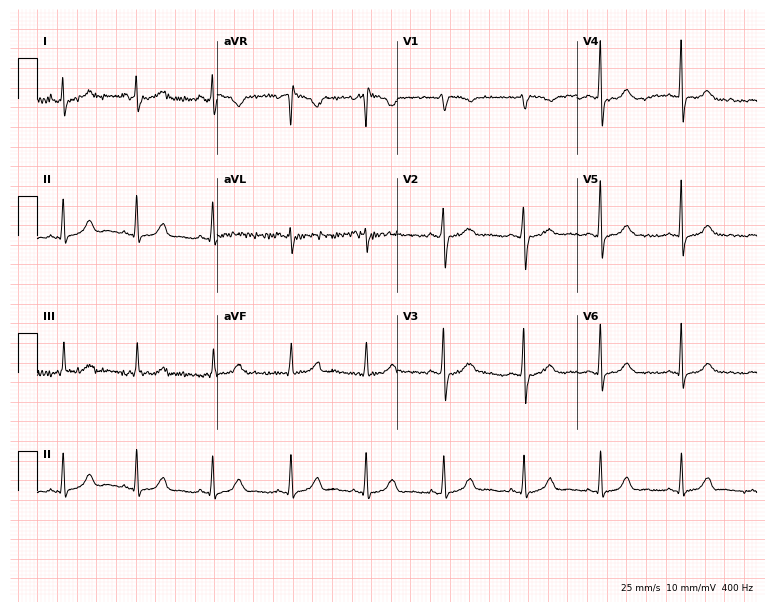
Standard 12-lead ECG recorded from a 26-year-old female patient. None of these six findings is recorded: first-degree AV block, right bundle branch block (RBBB), left bundle branch block (LBBB), sinus bradycardia, atrial fibrillation (AF), sinus tachycardia. Other findings, if any, are not listed.